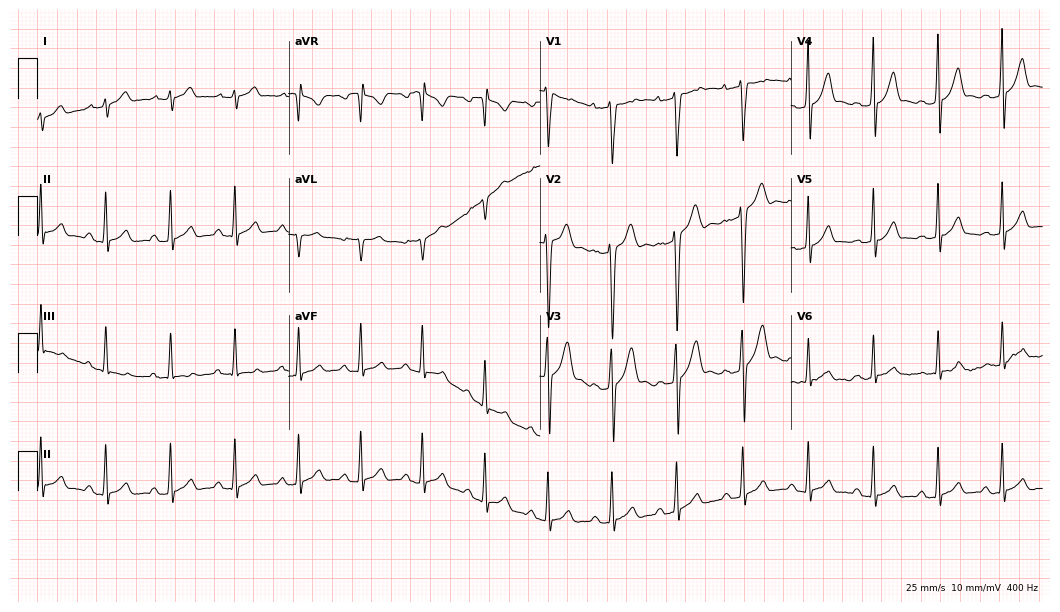
Resting 12-lead electrocardiogram (10.2-second recording at 400 Hz). Patient: a 19-year-old man. Read as a normal ECG.